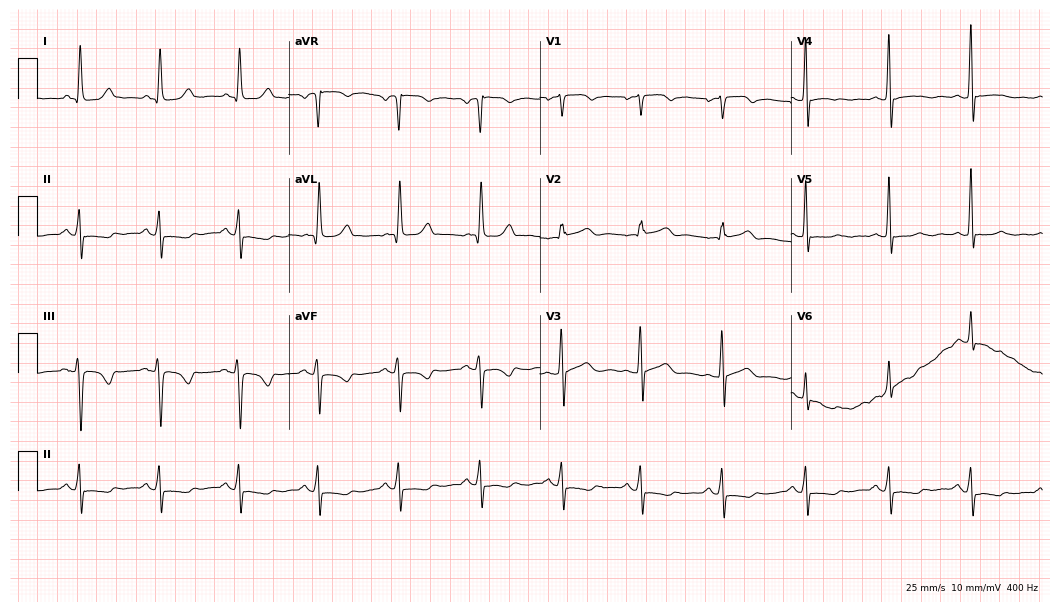
Resting 12-lead electrocardiogram (10.2-second recording at 400 Hz). Patient: a 60-year-old female. None of these six findings is recorded: first-degree AV block, right bundle branch block, left bundle branch block, sinus bradycardia, atrial fibrillation, sinus tachycardia.